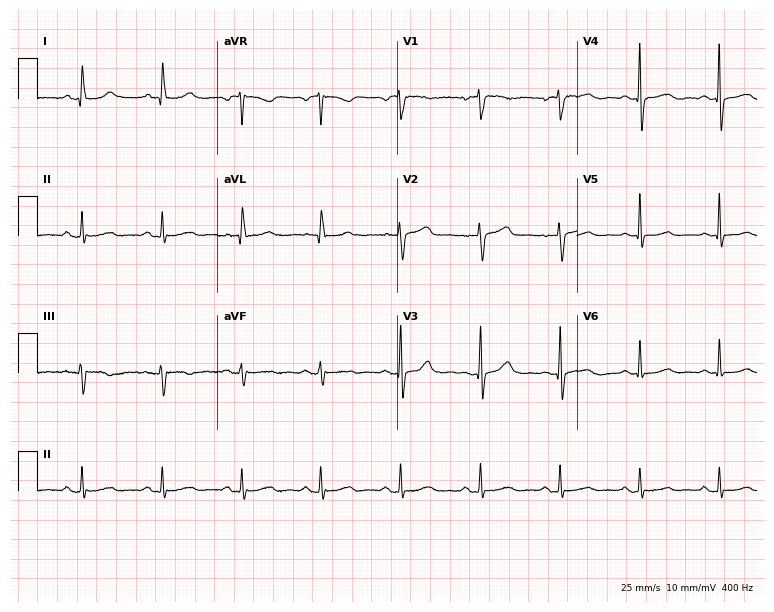
Resting 12-lead electrocardiogram. Patient: an 85-year-old female. Read as a normal ECG.